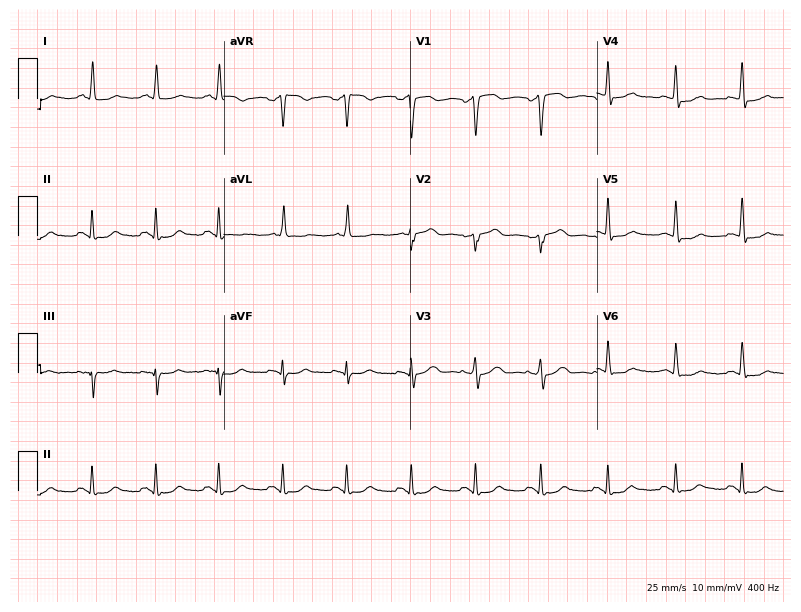
12-lead ECG from a man, 59 years old. Labelled as a normal ECG.